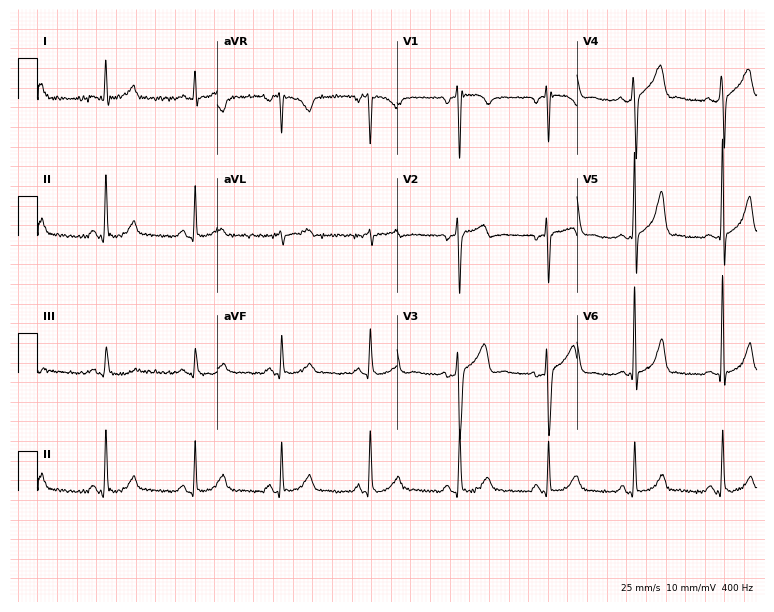
Electrocardiogram, a man, 43 years old. Of the six screened findings (first-degree AV block, right bundle branch block, left bundle branch block, sinus bradycardia, atrial fibrillation, sinus tachycardia), none is recorded.